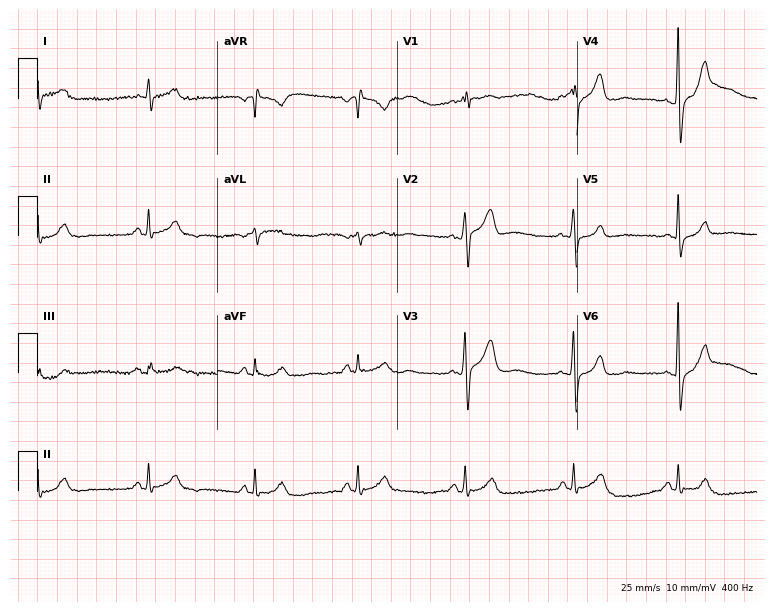
Electrocardiogram (7.3-second recording at 400 Hz), a 58-year-old male patient. Overall reading on record: normal ECG.